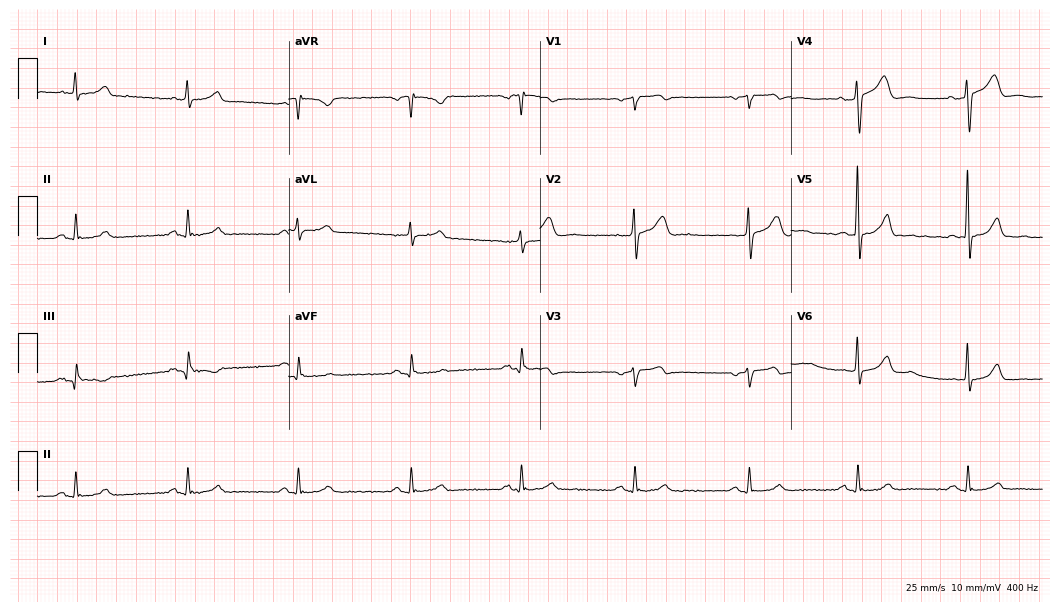
Resting 12-lead electrocardiogram. Patient: a 55-year-old man. Read as a normal ECG.